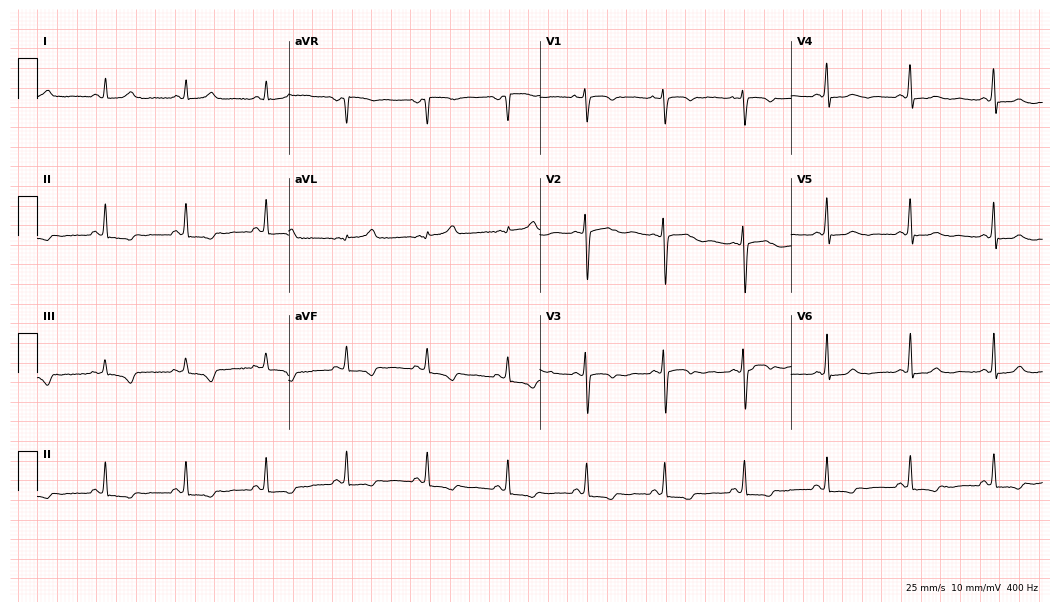
Standard 12-lead ECG recorded from a 38-year-old woman. Read as a normal ECG.